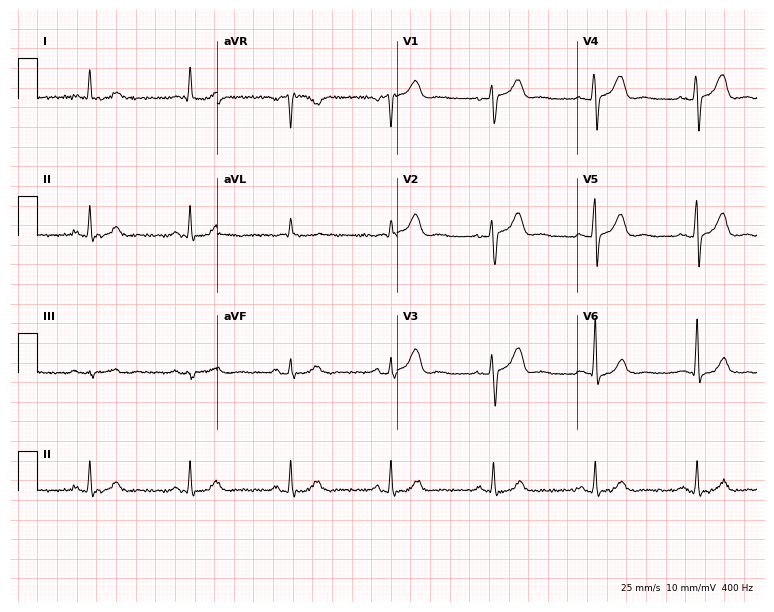
12-lead ECG from a male, 66 years old (7.3-second recording at 400 Hz). Recorded interpretation: within normal limits.